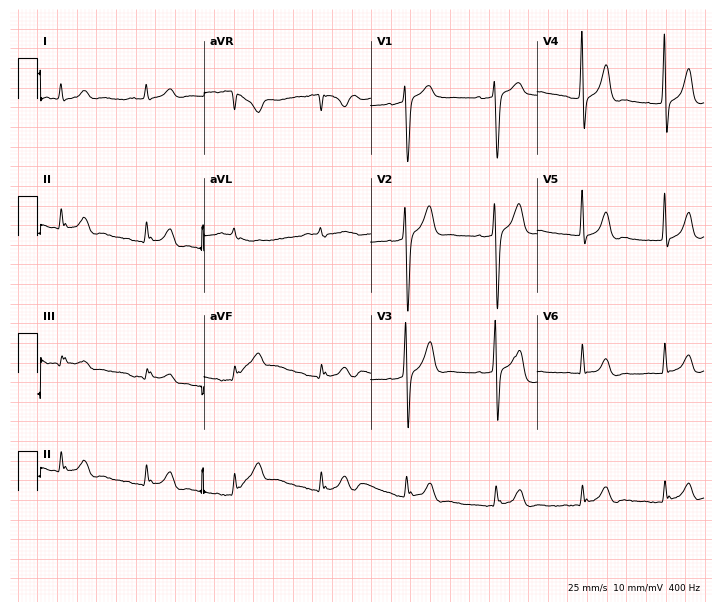
Resting 12-lead electrocardiogram (6.8-second recording at 400 Hz). Patient: a man, 31 years old. None of these six findings is recorded: first-degree AV block, right bundle branch block (RBBB), left bundle branch block (LBBB), sinus bradycardia, atrial fibrillation (AF), sinus tachycardia. Findings outside these six are not listed.